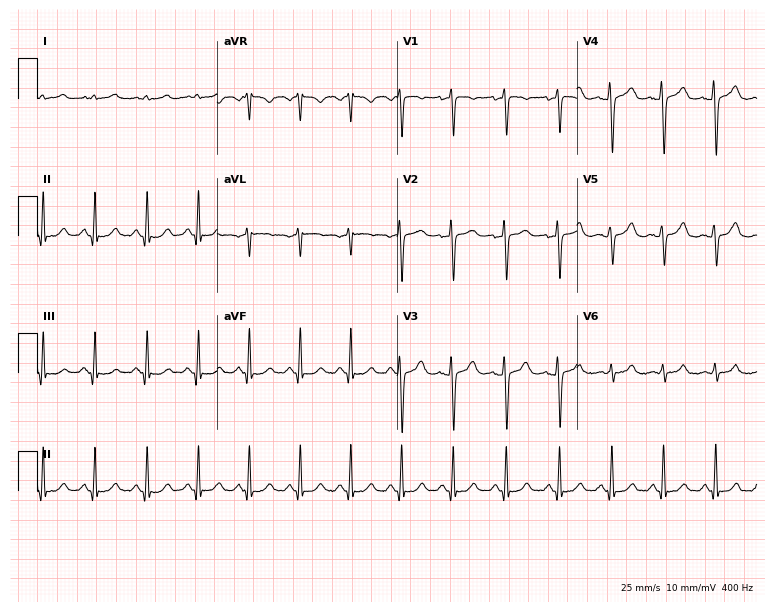
12-lead ECG from a 40-year-old female (7.3-second recording at 400 Hz). No first-degree AV block, right bundle branch block (RBBB), left bundle branch block (LBBB), sinus bradycardia, atrial fibrillation (AF) or sinus tachycardia recorded for this tracing. Only these six findings were labelled.